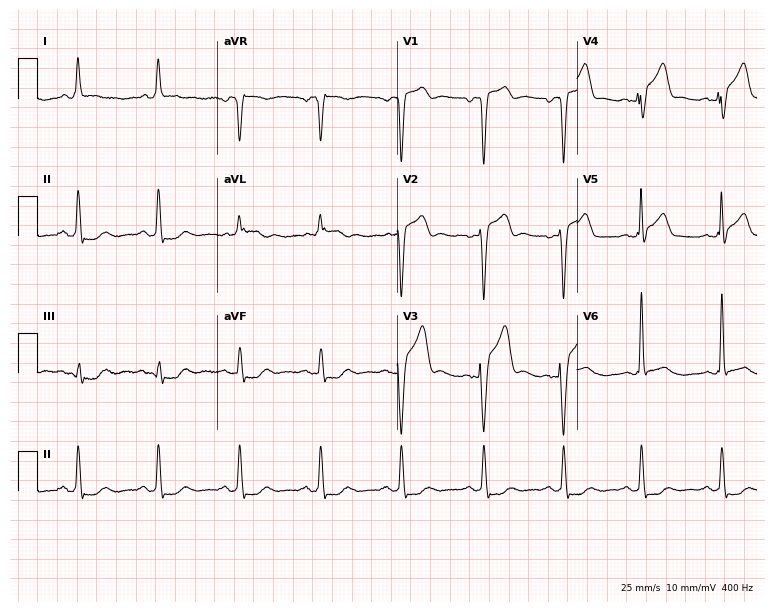
12-lead ECG from a 68-year-old man (7.3-second recording at 400 Hz). No first-degree AV block, right bundle branch block, left bundle branch block, sinus bradycardia, atrial fibrillation or sinus tachycardia recorded for this tracing.